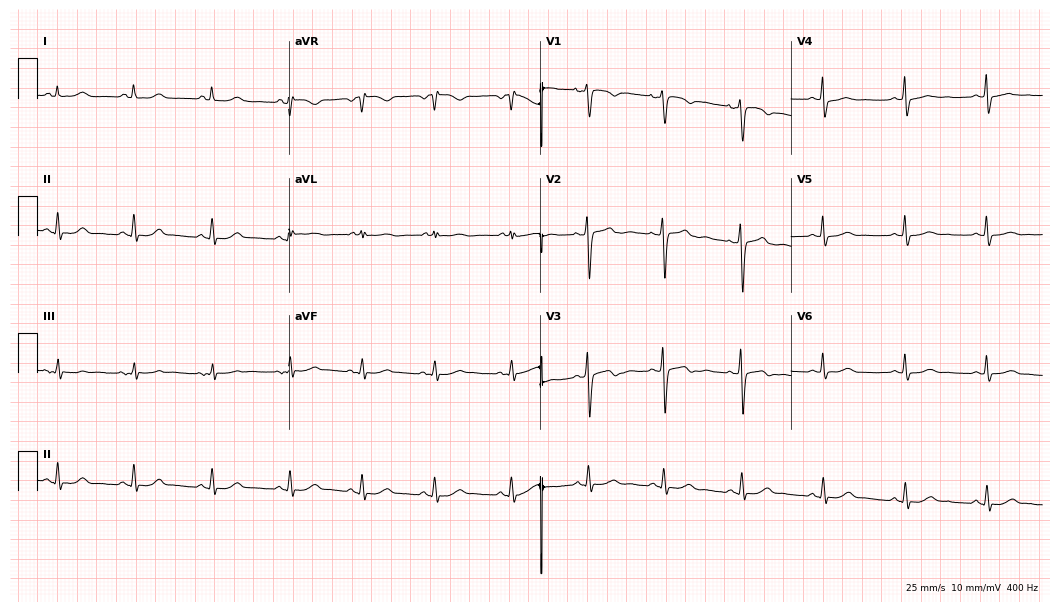
Standard 12-lead ECG recorded from a 43-year-old woman (10.2-second recording at 400 Hz). Read as a normal ECG.